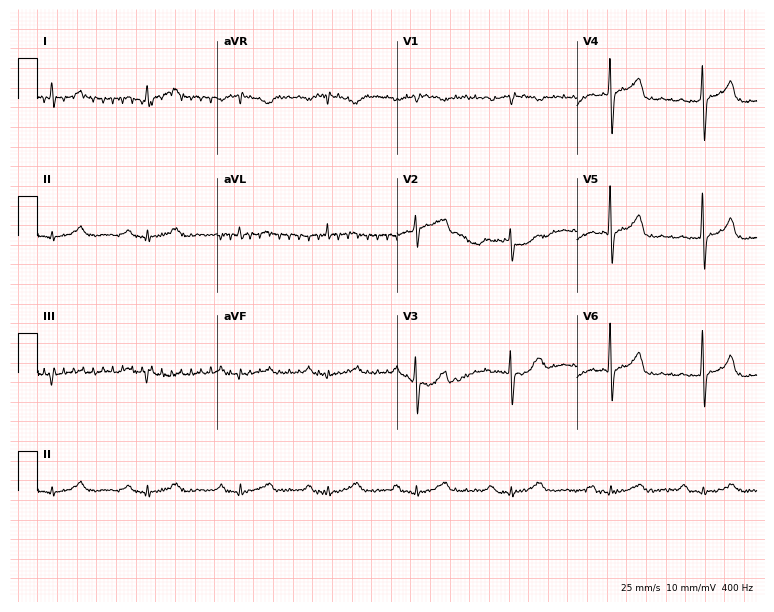
12-lead ECG from a 60-year-old man. Screened for six findings — first-degree AV block, right bundle branch block, left bundle branch block, sinus bradycardia, atrial fibrillation, sinus tachycardia — none is recorded. Only these six findings were labelled.